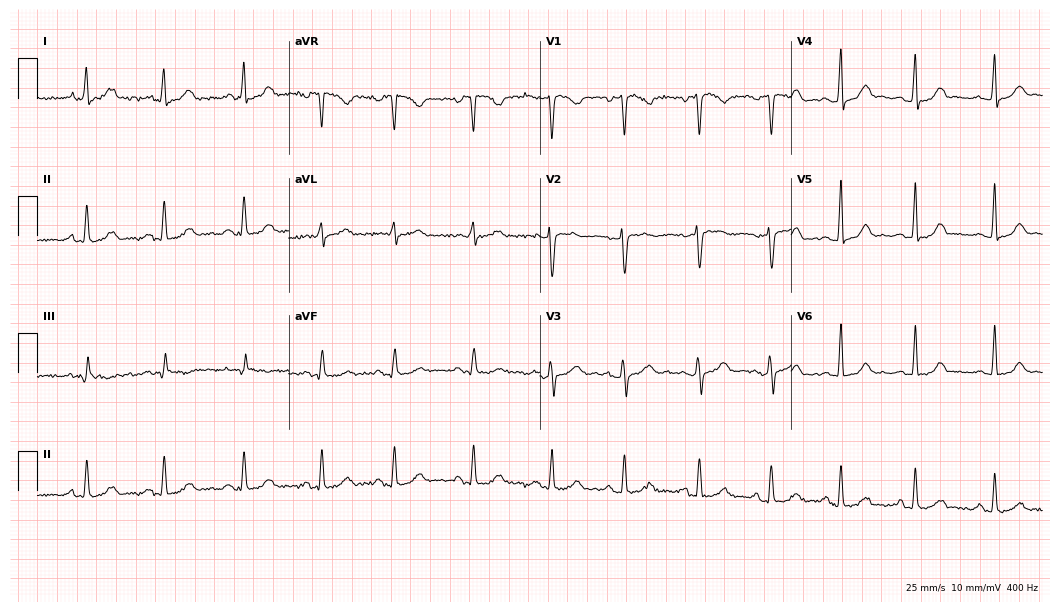
12-lead ECG (10.2-second recording at 400 Hz) from a 41-year-old woman. Labelled as a normal ECG.